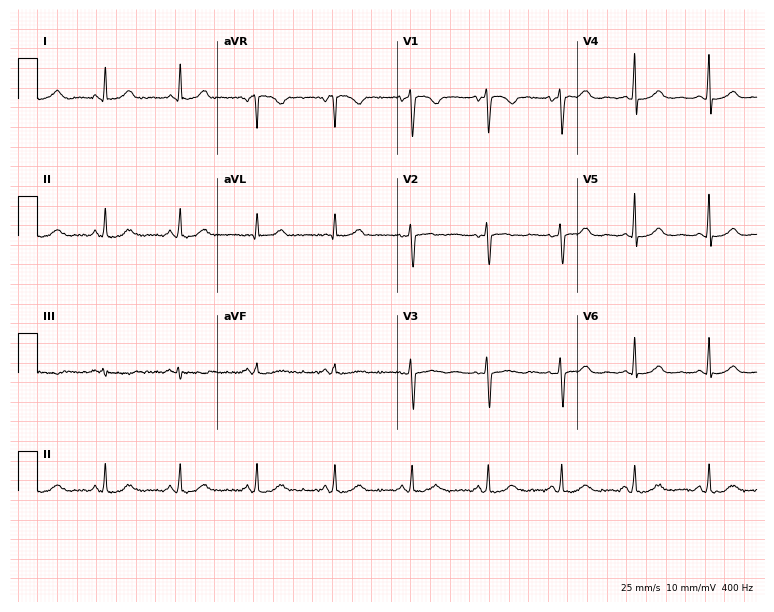
ECG (7.3-second recording at 400 Hz) — a female patient, 48 years old. Screened for six findings — first-degree AV block, right bundle branch block, left bundle branch block, sinus bradycardia, atrial fibrillation, sinus tachycardia — none is recorded.